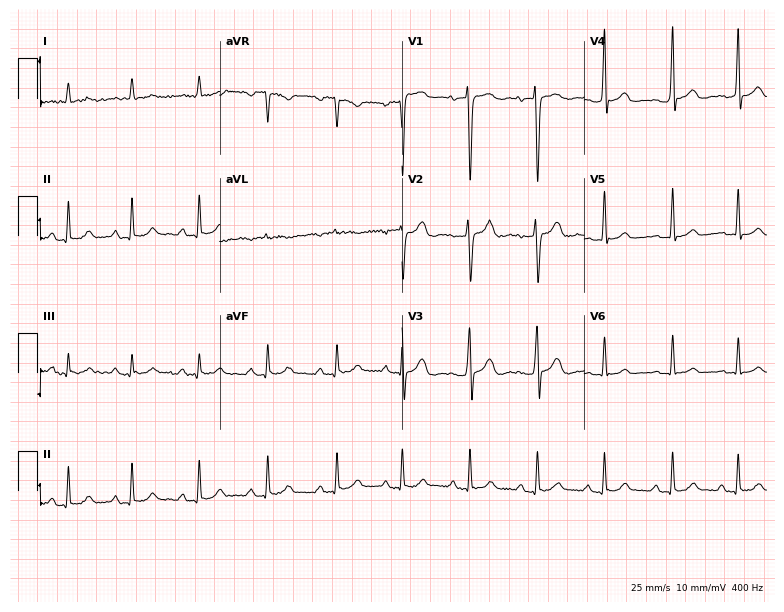
12-lead ECG from a man, 20 years old. No first-degree AV block, right bundle branch block (RBBB), left bundle branch block (LBBB), sinus bradycardia, atrial fibrillation (AF) or sinus tachycardia recorded for this tracing. Findings outside these six are not listed.